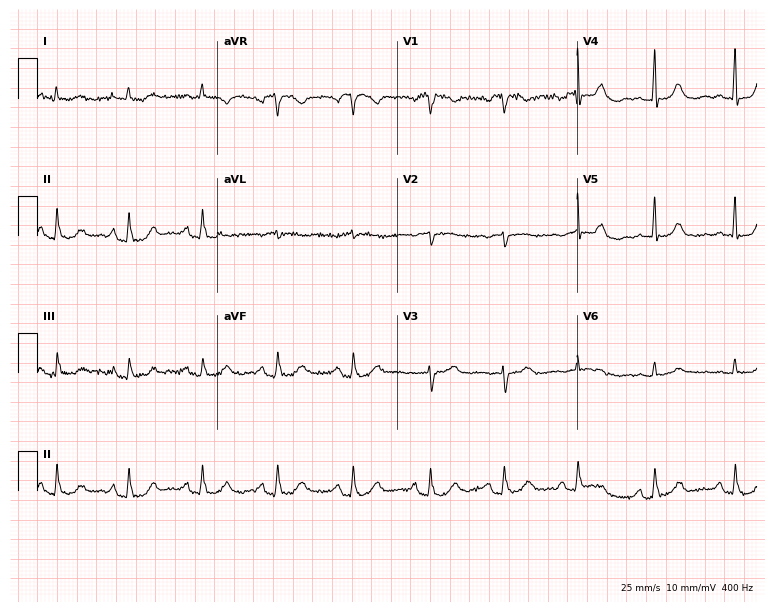
12-lead ECG (7.3-second recording at 400 Hz) from an 83-year-old female patient. Labelled as a normal ECG.